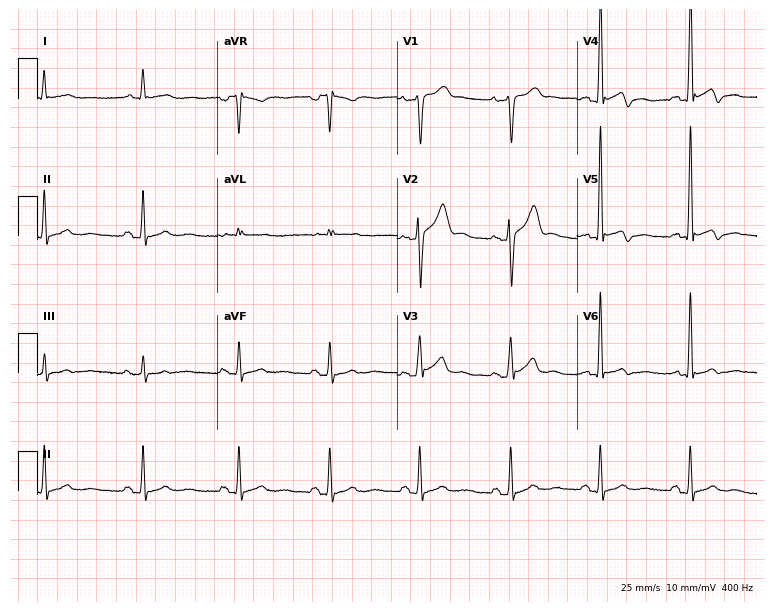
Electrocardiogram, a male, 48 years old. Of the six screened findings (first-degree AV block, right bundle branch block, left bundle branch block, sinus bradycardia, atrial fibrillation, sinus tachycardia), none is recorded. Findings outside these six are not listed.